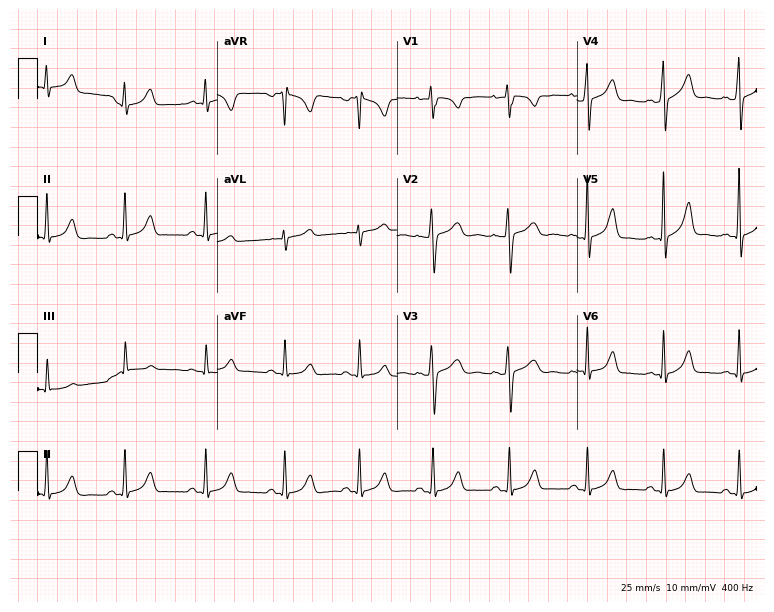
Standard 12-lead ECG recorded from a 21-year-old woman (7.3-second recording at 400 Hz). None of these six findings is recorded: first-degree AV block, right bundle branch block, left bundle branch block, sinus bradycardia, atrial fibrillation, sinus tachycardia. Findings outside these six are not listed.